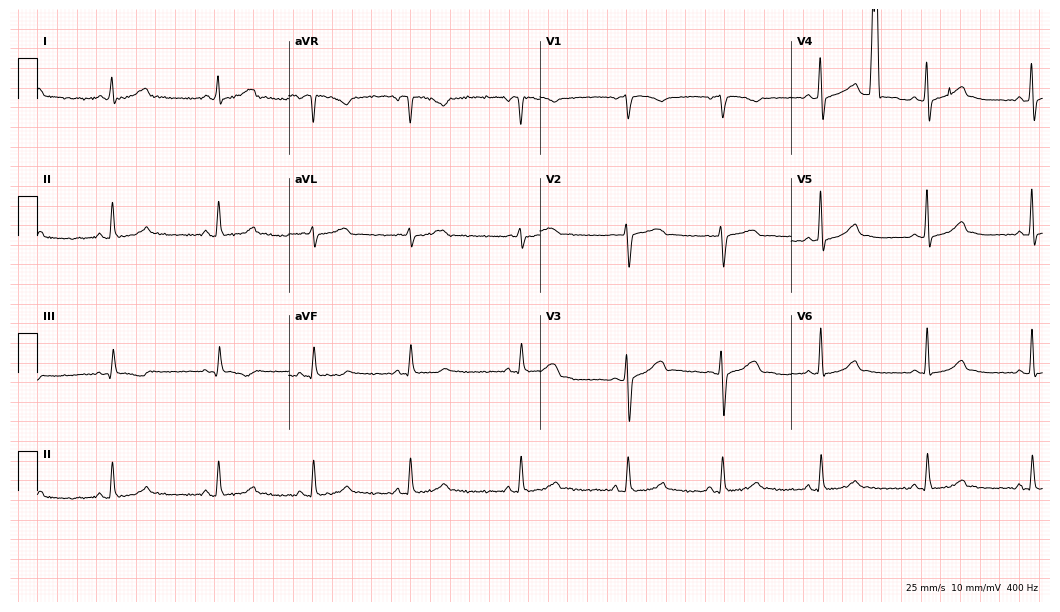
Resting 12-lead electrocardiogram. Patient: a 35-year-old female. Read as a normal ECG.